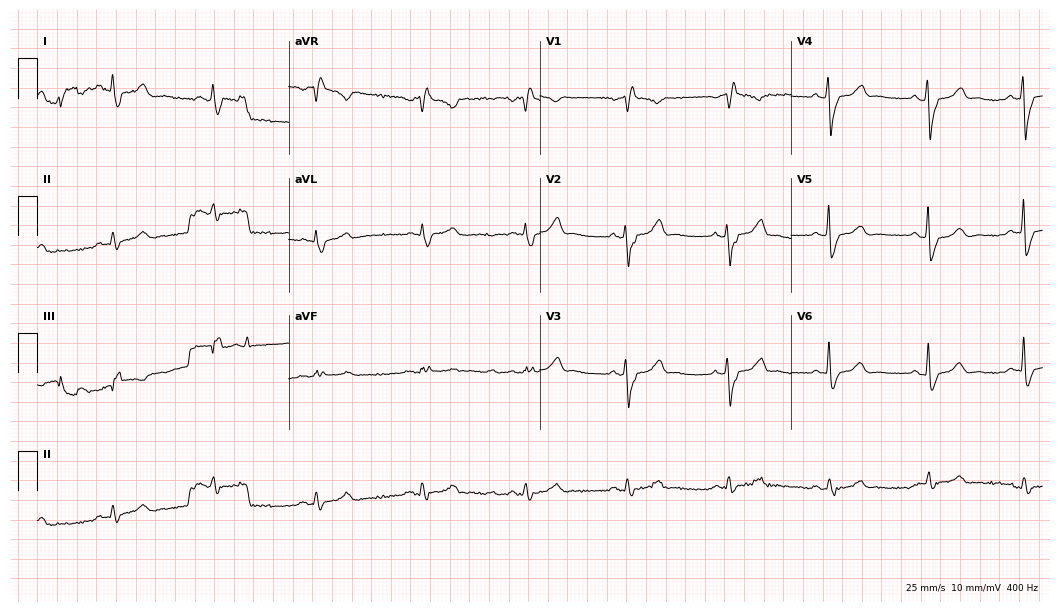
12-lead ECG from a male, 60 years old. Shows right bundle branch block.